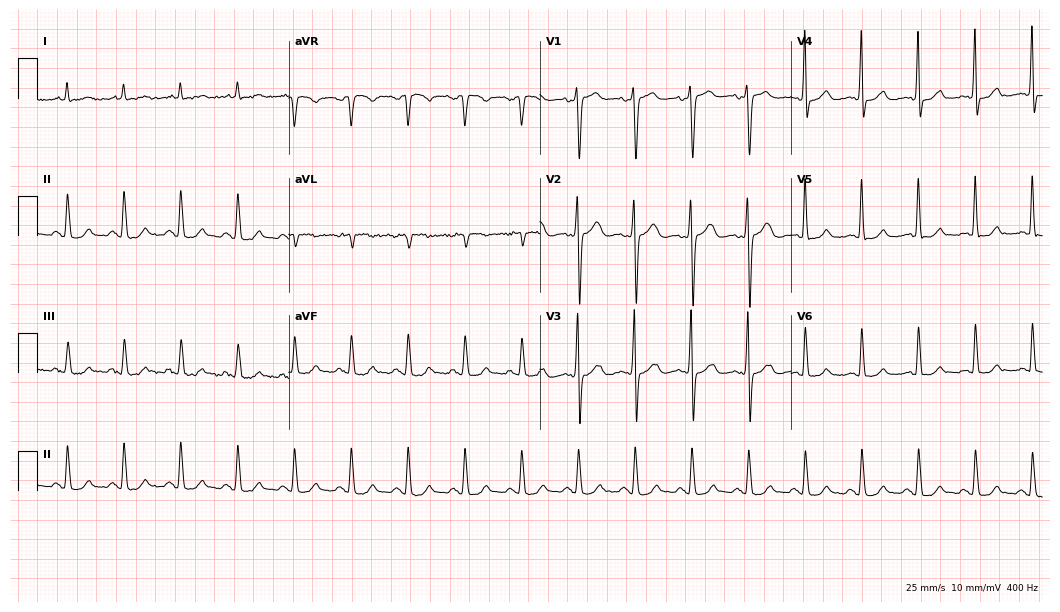
ECG (10.2-second recording at 400 Hz) — a man, 54 years old. Screened for six findings — first-degree AV block, right bundle branch block, left bundle branch block, sinus bradycardia, atrial fibrillation, sinus tachycardia — none is recorded. Other findings, if any, are not listed.